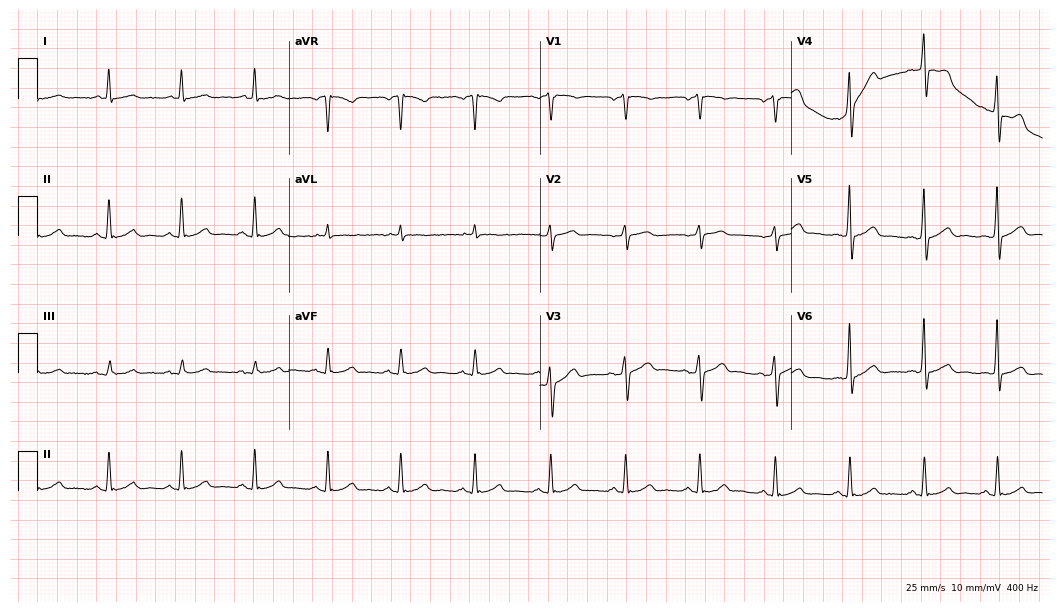
12-lead ECG (10.2-second recording at 400 Hz) from a man, 53 years old. Labelled as a normal ECG.